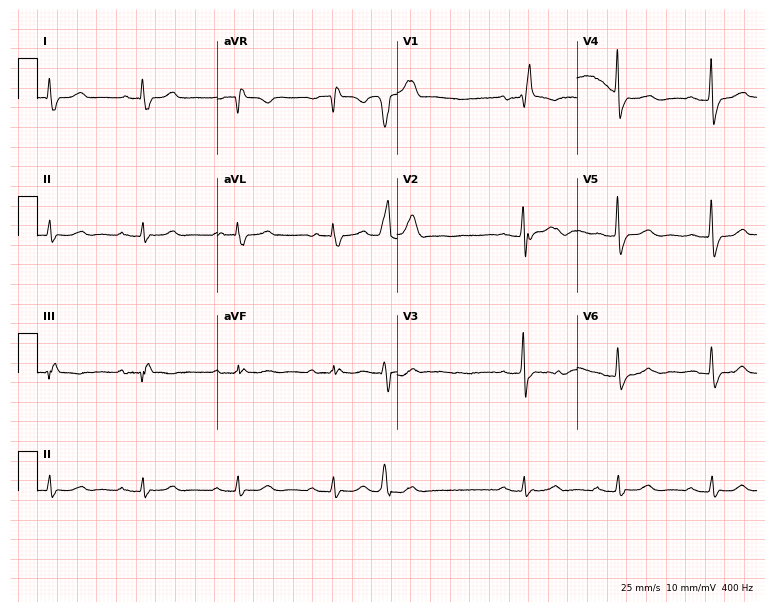
Standard 12-lead ECG recorded from a male, 78 years old (7.3-second recording at 400 Hz). The tracing shows first-degree AV block, right bundle branch block.